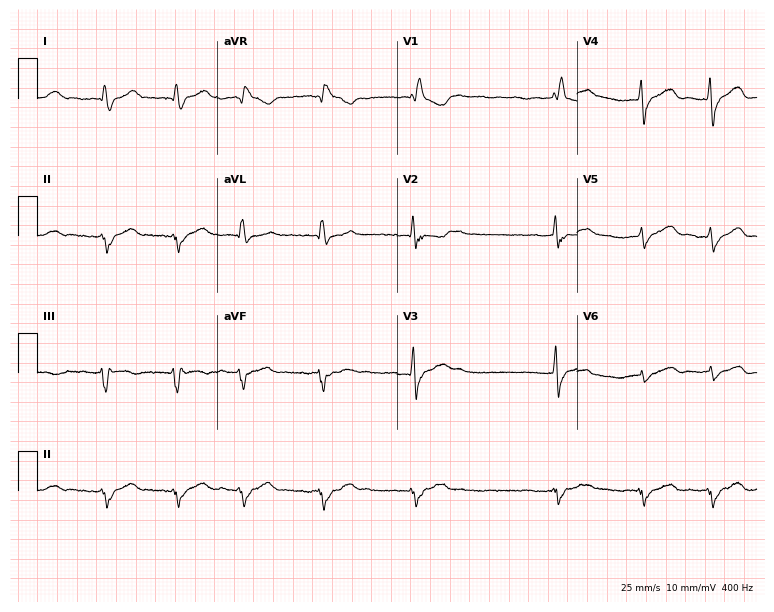
12-lead ECG from a 50-year-old woman (7.3-second recording at 400 Hz). Shows right bundle branch block, atrial fibrillation.